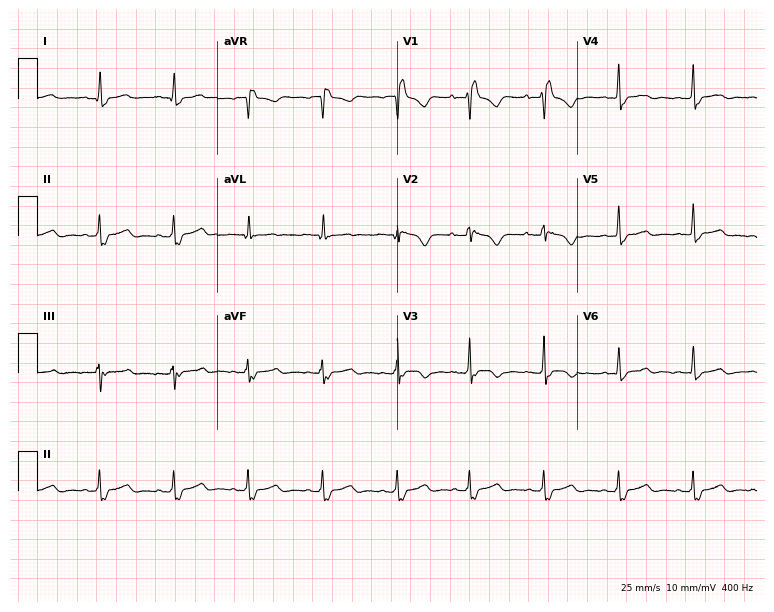
12-lead ECG from a 40-year-old female patient. Findings include right bundle branch block.